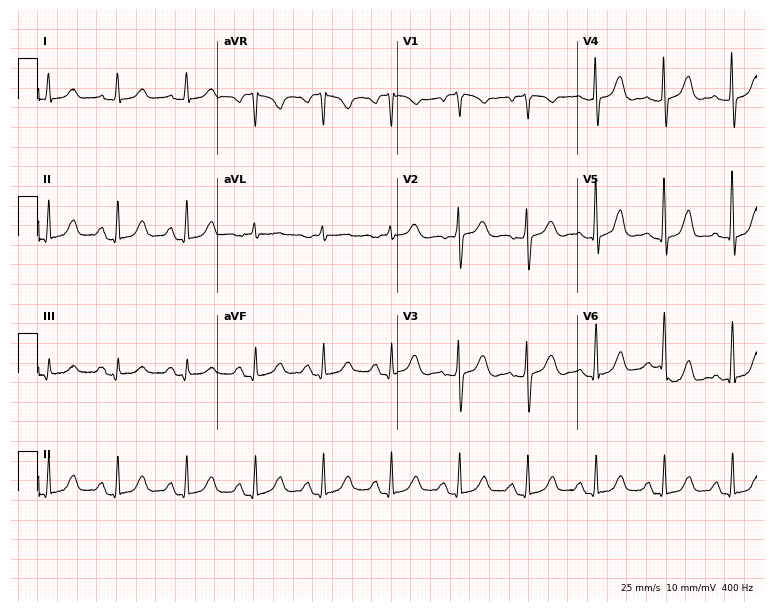
12-lead ECG from a female patient, 55 years old. No first-degree AV block, right bundle branch block, left bundle branch block, sinus bradycardia, atrial fibrillation or sinus tachycardia recorded for this tracing.